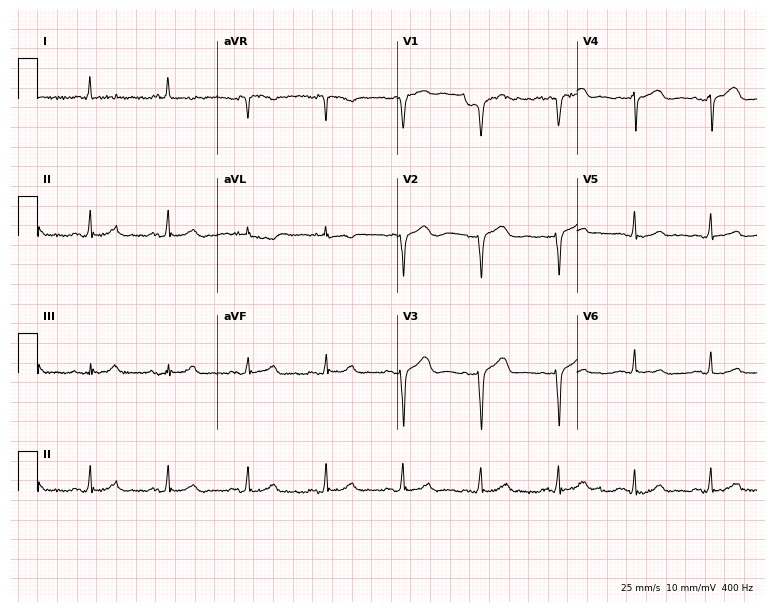
Electrocardiogram (7.3-second recording at 400 Hz), a 60-year-old woman. Of the six screened findings (first-degree AV block, right bundle branch block, left bundle branch block, sinus bradycardia, atrial fibrillation, sinus tachycardia), none is recorded. Findings outside these six are not listed.